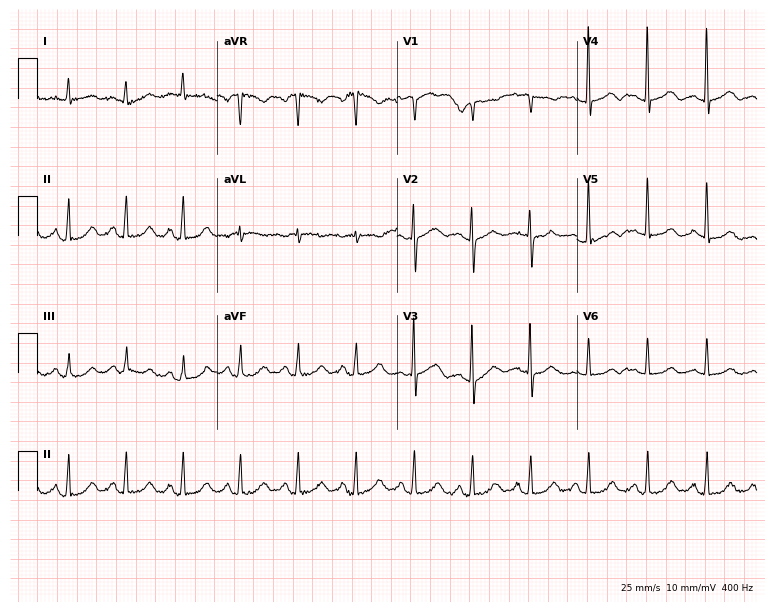
Electrocardiogram (7.3-second recording at 400 Hz), a female, 81 years old. Of the six screened findings (first-degree AV block, right bundle branch block, left bundle branch block, sinus bradycardia, atrial fibrillation, sinus tachycardia), none is recorded.